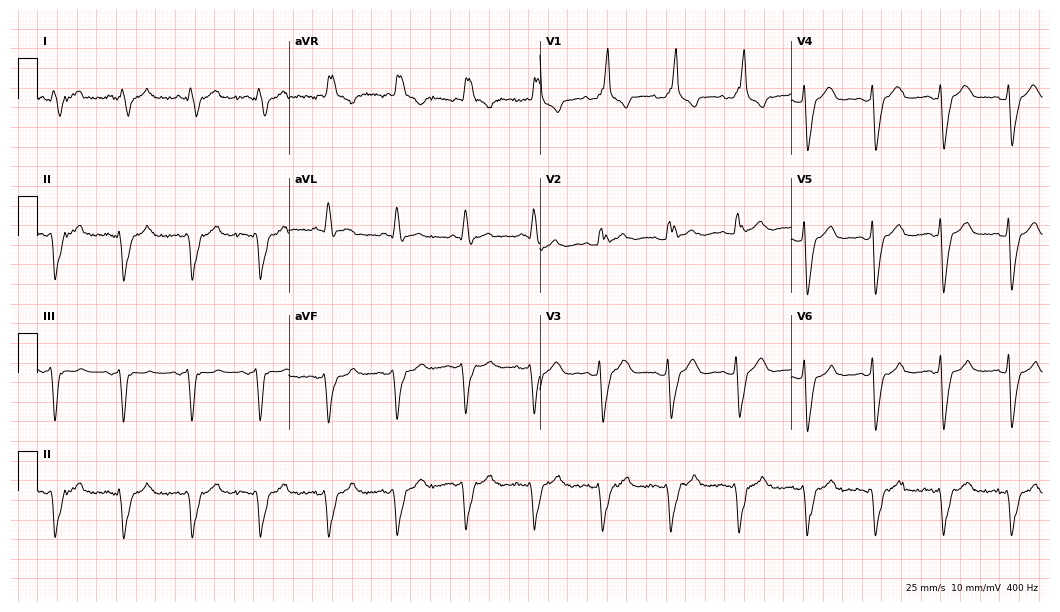
Electrocardiogram (10.2-second recording at 400 Hz), a male patient, 62 years old. Interpretation includes right bundle branch block.